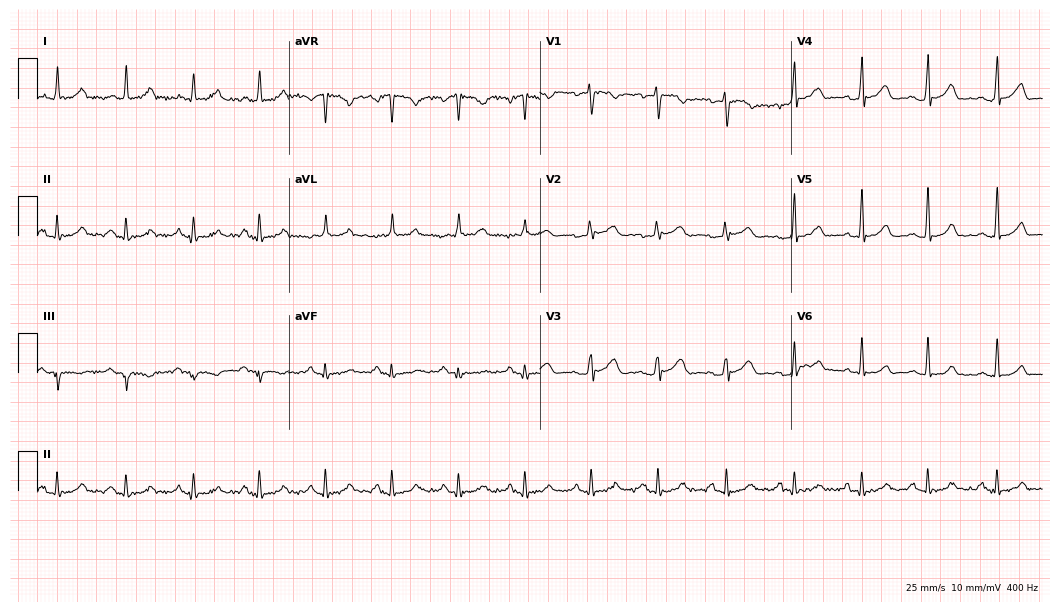
ECG — a 48-year-old woman. Labelled as a normal ECG.